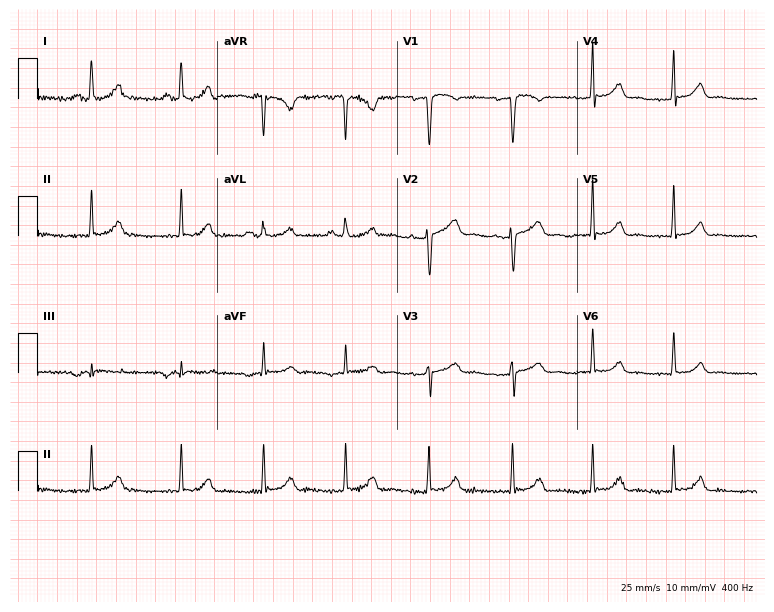
ECG (7.3-second recording at 400 Hz) — a female patient, 36 years old. Screened for six findings — first-degree AV block, right bundle branch block (RBBB), left bundle branch block (LBBB), sinus bradycardia, atrial fibrillation (AF), sinus tachycardia — none is recorded.